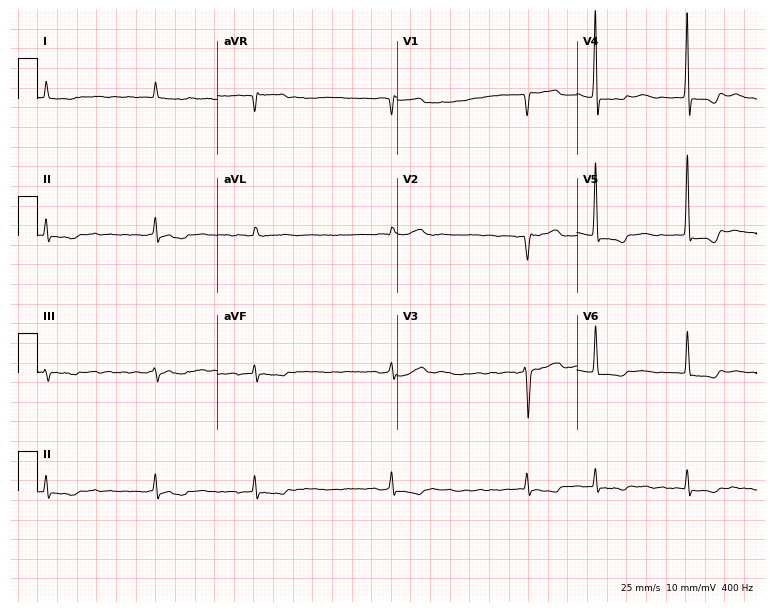
12-lead ECG from a male, 85 years old (7.3-second recording at 400 Hz). Shows atrial fibrillation.